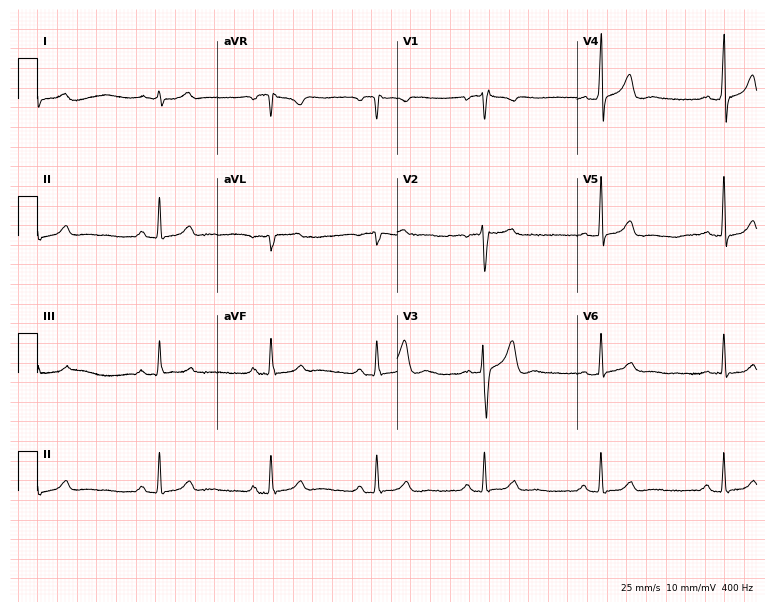
ECG (7.3-second recording at 400 Hz) — a 43-year-old man. Labelled as a normal ECG.